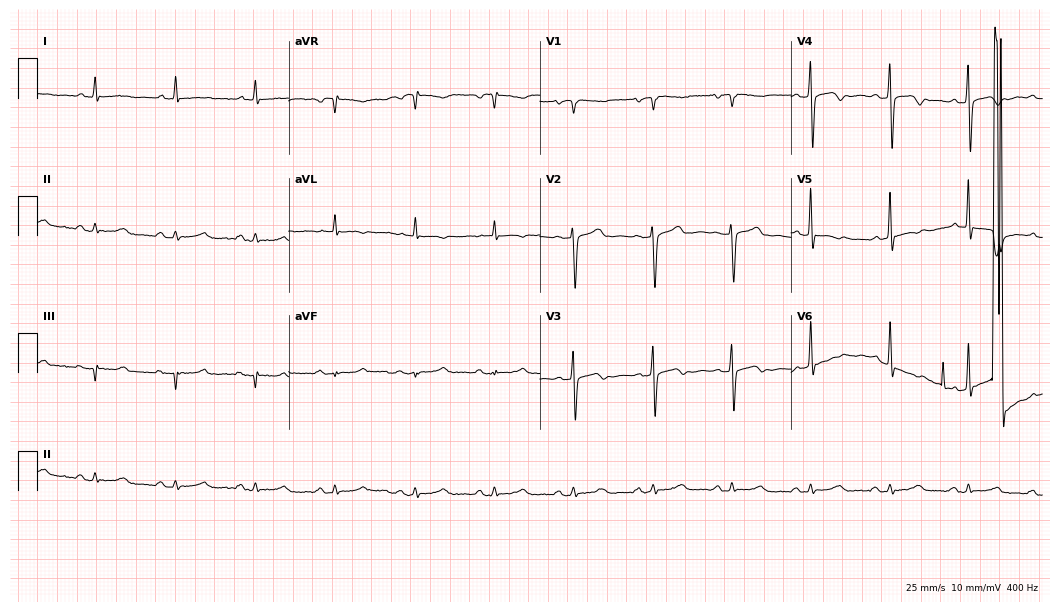
Electrocardiogram (10.2-second recording at 400 Hz), an 83-year-old female patient. Of the six screened findings (first-degree AV block, right bundle branch block, left bundle branch block, sinus bradycardia, atrial fibrillation, sinus tachycardia), none is recorded.